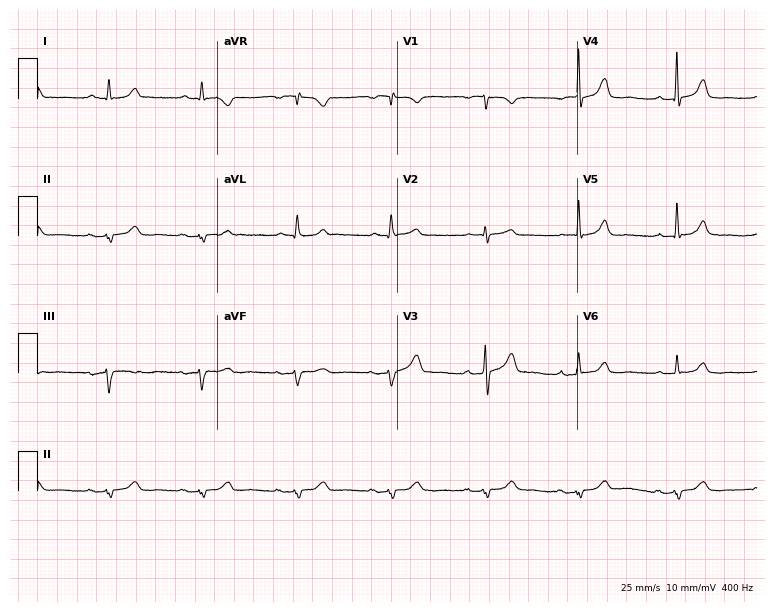
ECG — a 53-year-old male. Screened for six findings — first-degree AV block, right bundle branch block, left bundle branch block, sinus bradycardia, atrial fibrillation, sinus tachycardia — none is recorded.